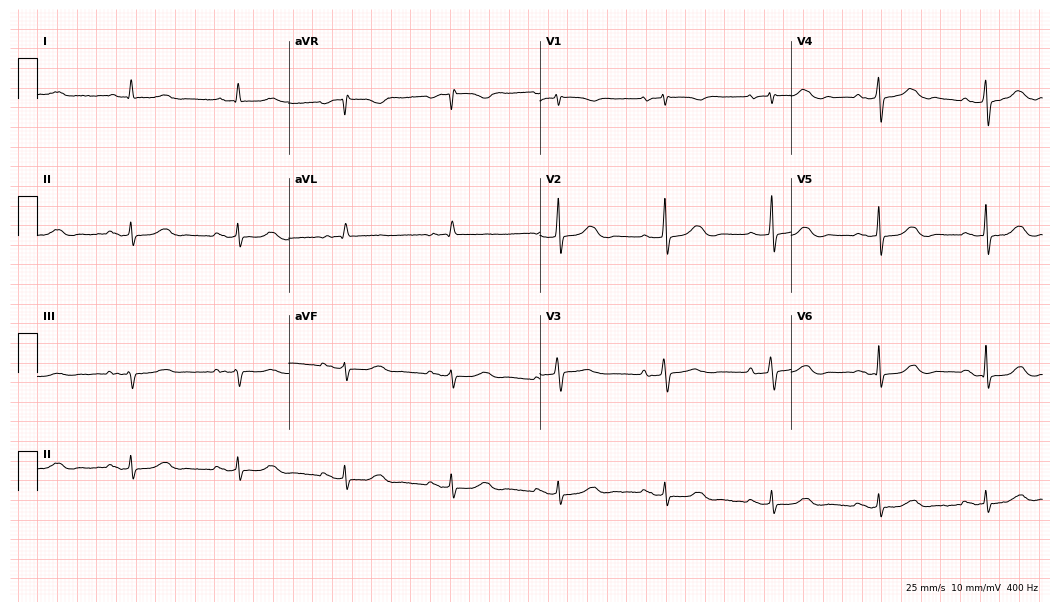
ECG — a woman, 76 years old. Labelled as a normal ECG.